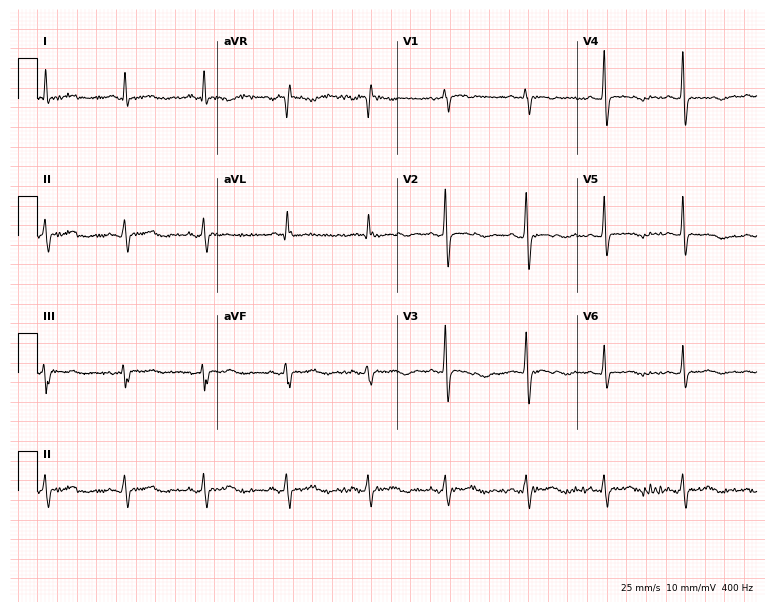
12-lead ECG from a 58-year-old woman (7.3-second recording at 400 Hz). No first-degree AV block, right bundle branch block (RBBB), left bundle branch block (LBBB), sinus bradycardia, atrial fibrillation (AF) or sinus tachycardia recorded for this tracing.